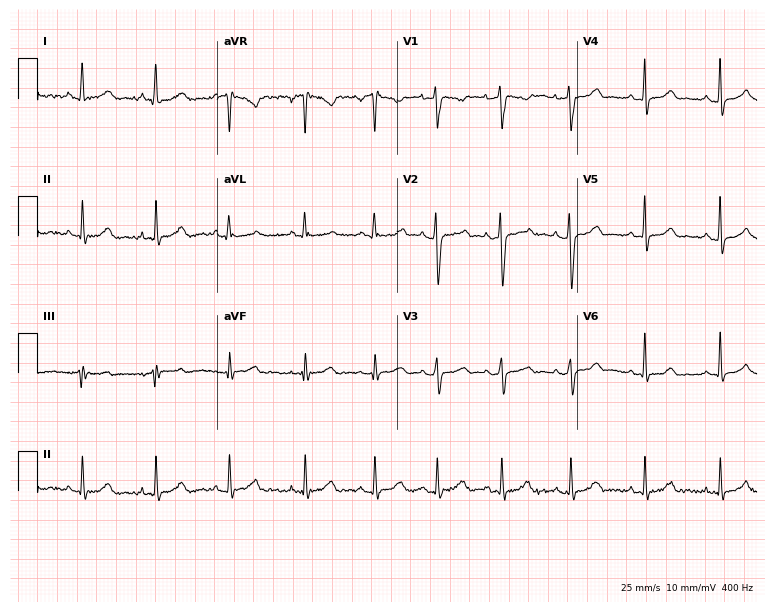
Resting 12-lead electrocardiogram. Patient: a 29-year-old female. Read as a normal ECG.